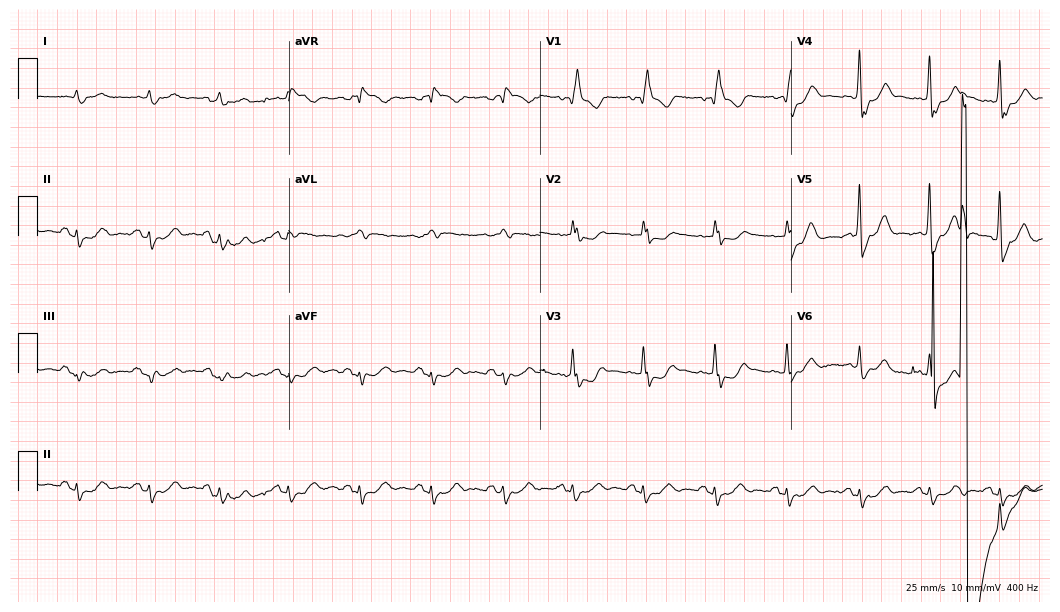
Standard 12-lead ECG recorded from a man, 82 years old. None of these six findings is recorded: first-degree AV block, right bundle branch block, left bundle branch block, sinus bradycardia, atrial fibrillation, sinus tachycardia.